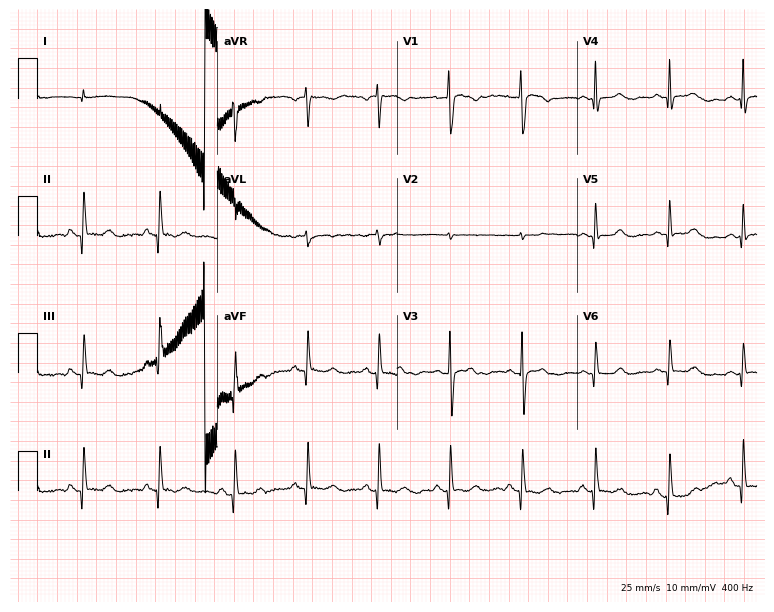
12-lead ECG from a female patient, 31 years old. Recorded interpretation: within normal limits.